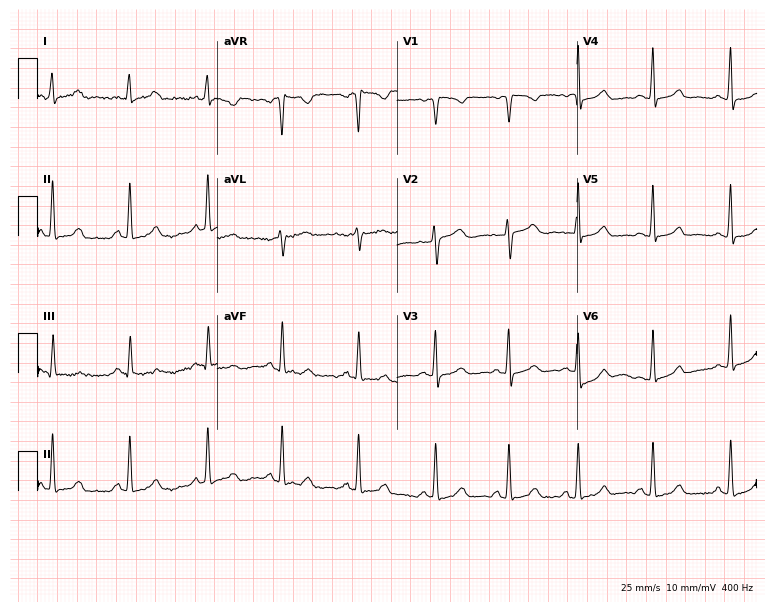
12-lead ECG from a female patient, 32 years old. No first-degree AV block, right bundle branch block, left bundle branch block, sinus bradycardia, atrial fibrillation or sinus tachycardia recorded for this tracing.